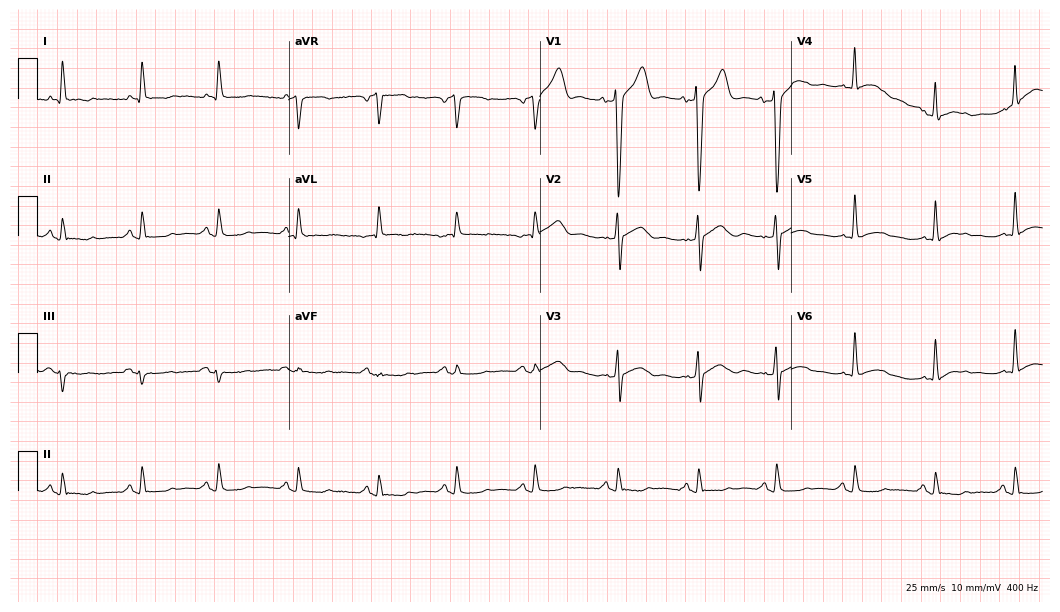
12-lead ECG from a male patient, 67 years old. Screened for six findings — first-degree AV block, right bundle branch block (RBBB), left bundle branch block (LBBB), sinus bradycardia, atrial fibrillation (AF), sinus tachycardia — none is recorded.